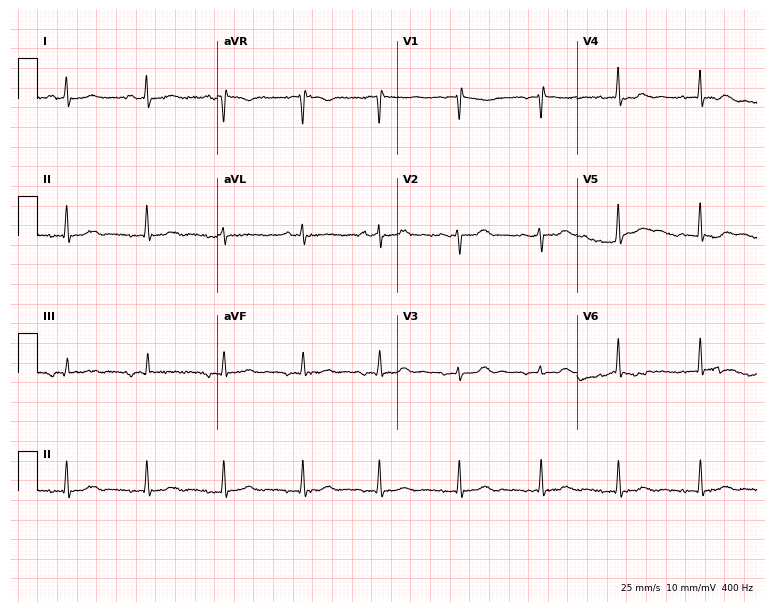
Standard 12-lead ECG recorded from a 60-year-old female patient (7.3-second recording at 400 Hz). None of these six findings is recorded: first-degree AV block, right bundle branch block (RBBB), left bundle branch block (LBBB), sinus bradycardia, atrial fibrillation (AF), sinus tachycardia.